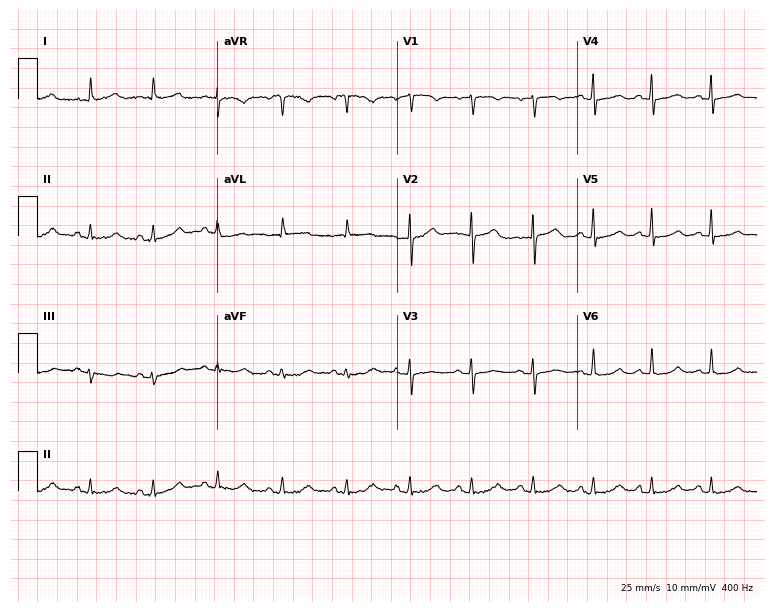
12-lead ECG from a 74-year-old woman. Labelled as a normal ECG.